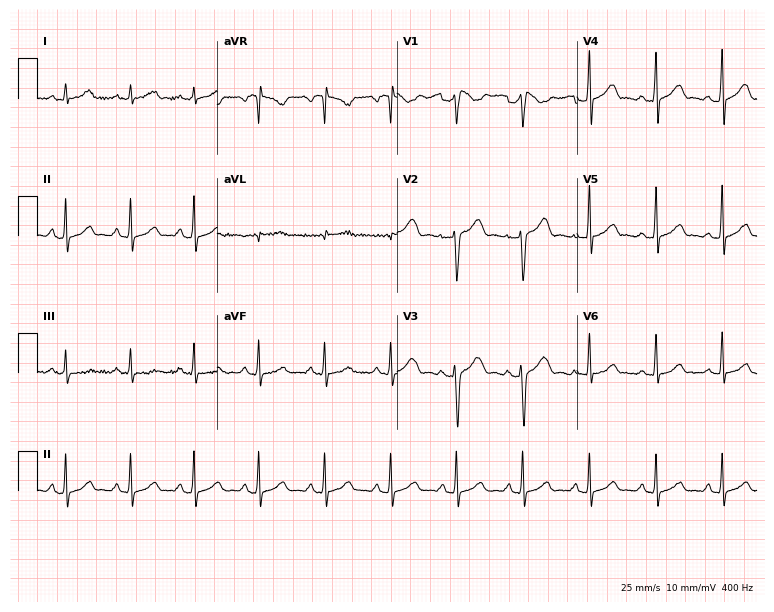
ECG (7.3-second recording at 400 Hz) — a 30-year-old female patient. Labelled as a normal ECG.